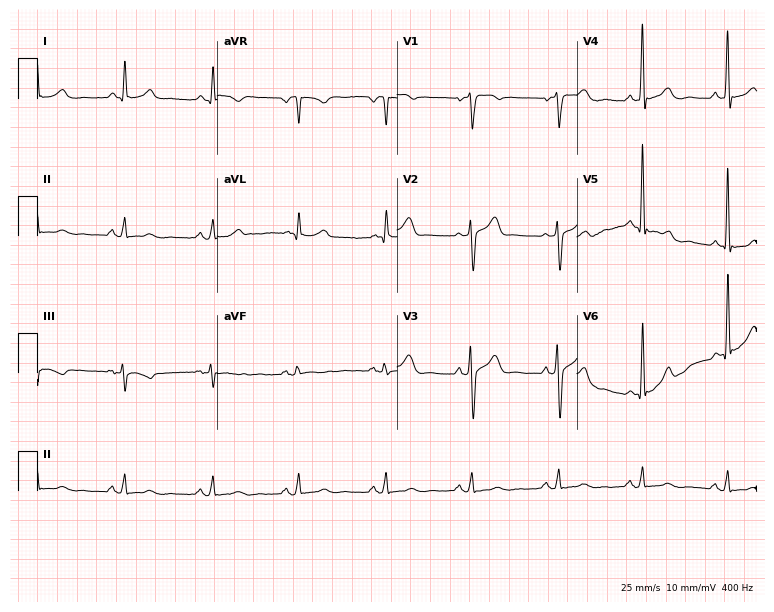
12-lead ECG from a male patient, 75 years old (7.3-second recording at 400 Hz). No first-degree AV block, right bundle branch block (RBBB), left bundle branch block (LBBB), sinus bradycardia, atrial fibrillation (AF) or sinus tachycardia recorded for this tracing. Other findings, if any, are not listed.